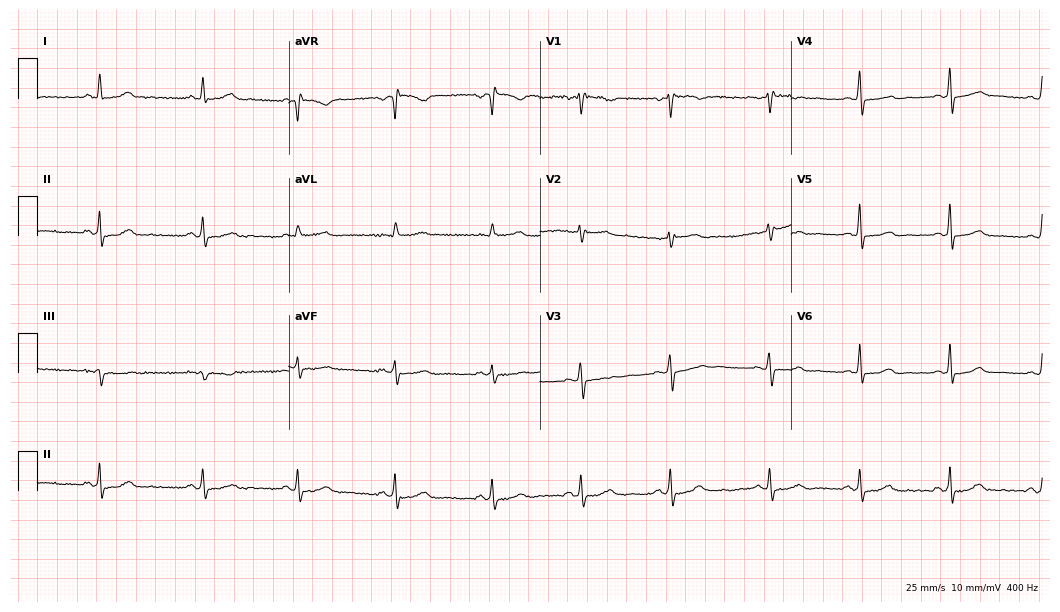
Standard 12-lead ECG recorded from a 35-year-old woman (10.2-second recording at 400 Hz). None of these six findings is recorded: first-degree AV block, right bundle branch block, left bundle branch block, sinus bradycardia, atrial fibrillation, sinus tachycardia. Findings outside these six are not listed.